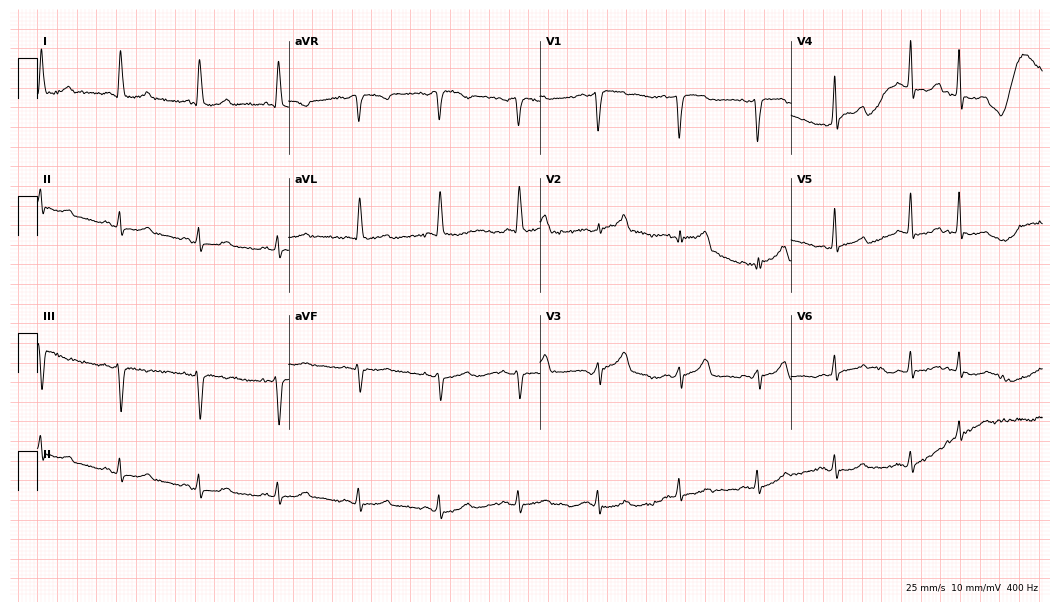
Electrocardiogram, a 65-year-old woman. Of the six screened findings (first-degree AV block, right bundle branch block (RBBB), left bundle branch block (LBBB), sinus bradycardia, atrial fibrillation (AF), sinus tachycardia), none is recorded.